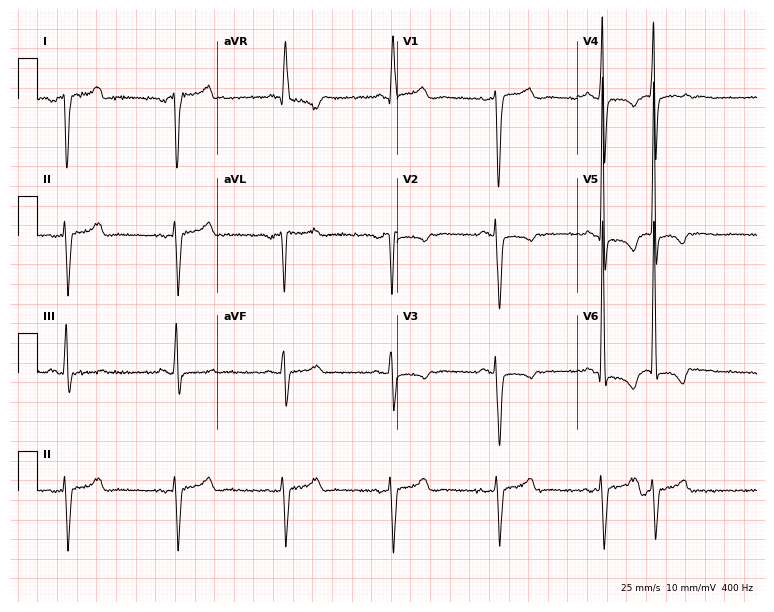
Resting 12-lead electrocardiogram. Patient: a man, 69 years old. None of these six findings is recorded: first-degree AV block, right bundle branch block (RBBB), left bundle branch block (LBBB), sinus bradycardia, atrial fibrillation (AF), sinus tachycardia.